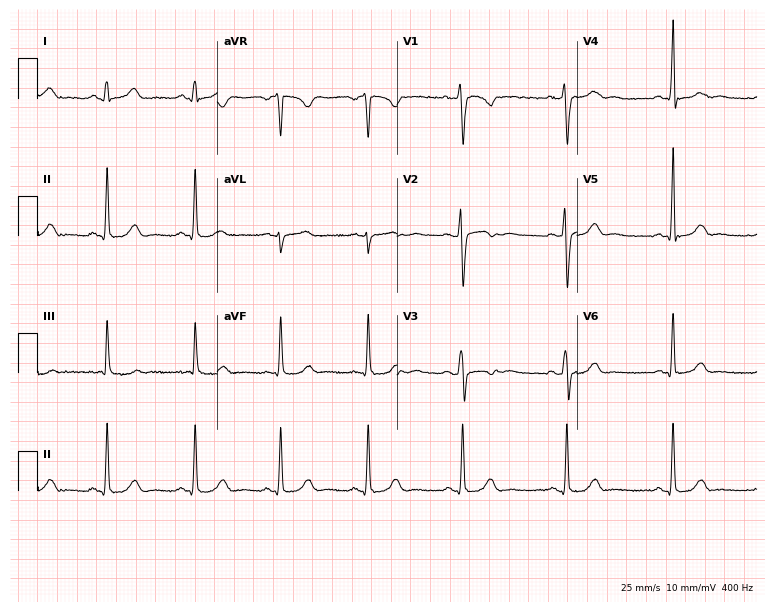
Electrocardiogram (7.3-second recording at 400 Hz), a 32-year-old woman. Overall reading on record: normal ECG.